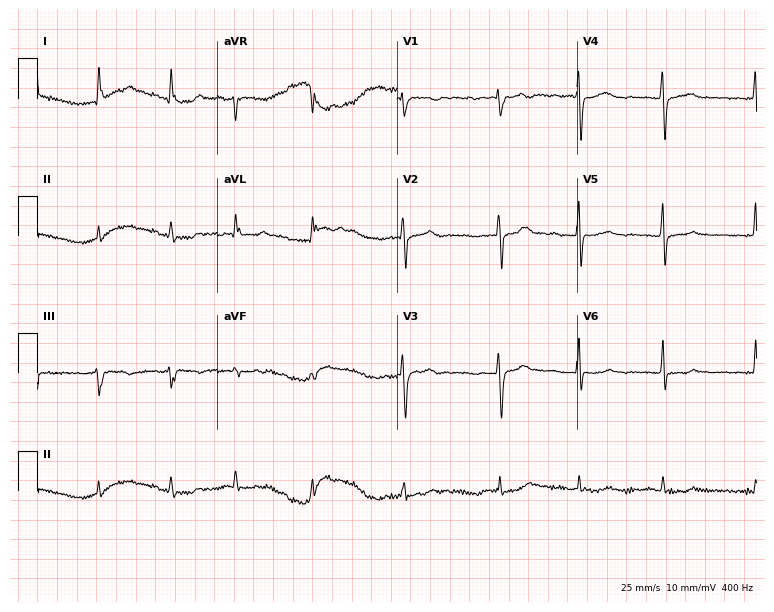
Electrocardiogram, a 55-year-old female patient. Interpretation includes atrial fibrillation.